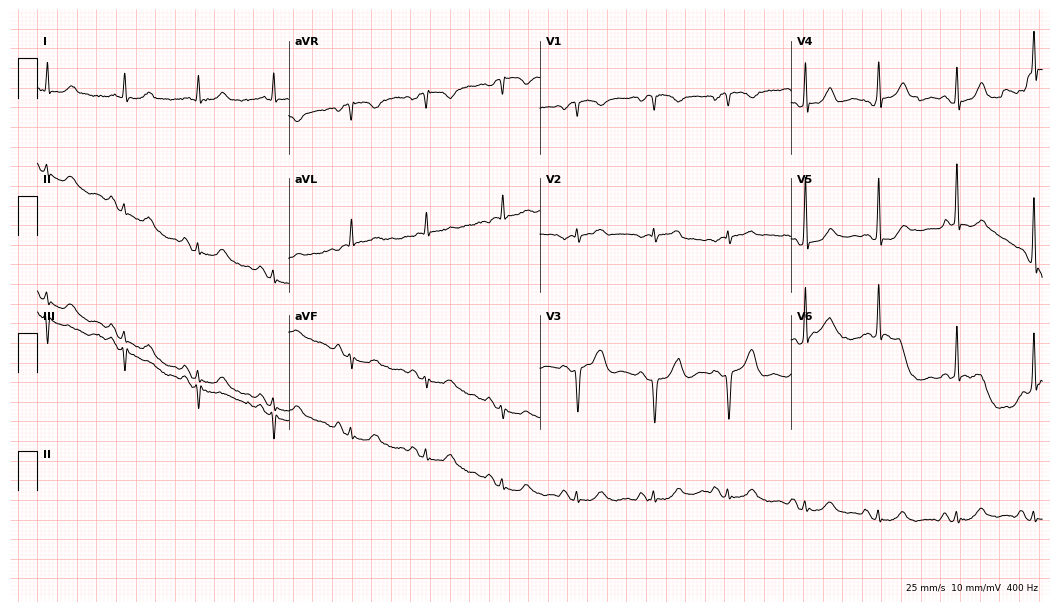
Standard 12-lead ECG recorded from a 75-year-old female. Read as a normal ECG.